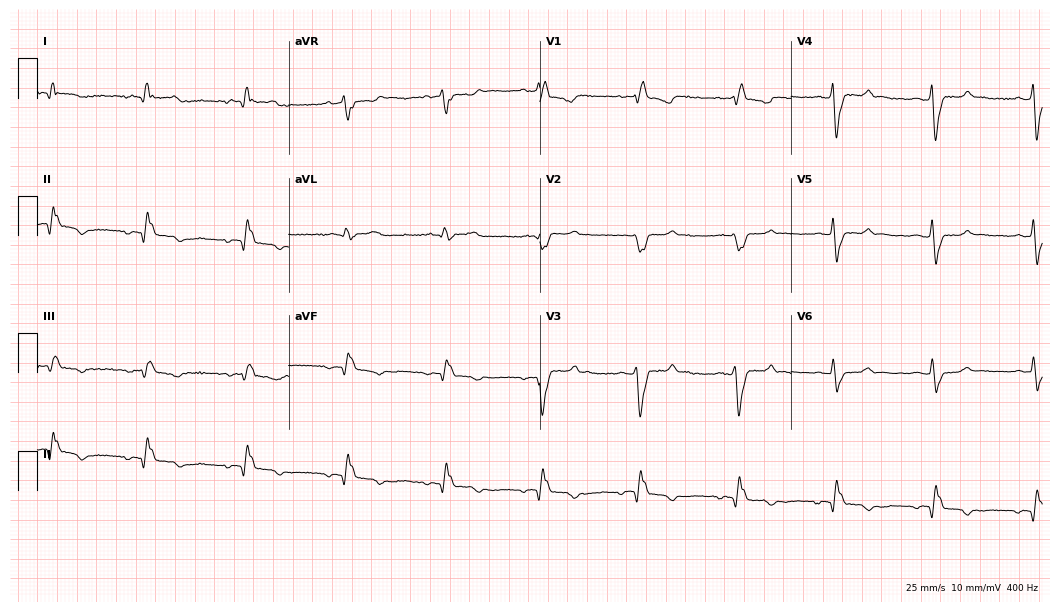
Resting 12-lead electrocardiogram (10.2-second recording at 400 Hz). Patient: a male, 49 years old. None of these six findings is recorded: first-degree AV block, right bundle branch block, left bundle branch block, sinus bradycardia, atrial fibrillation, sinus tachycardia.